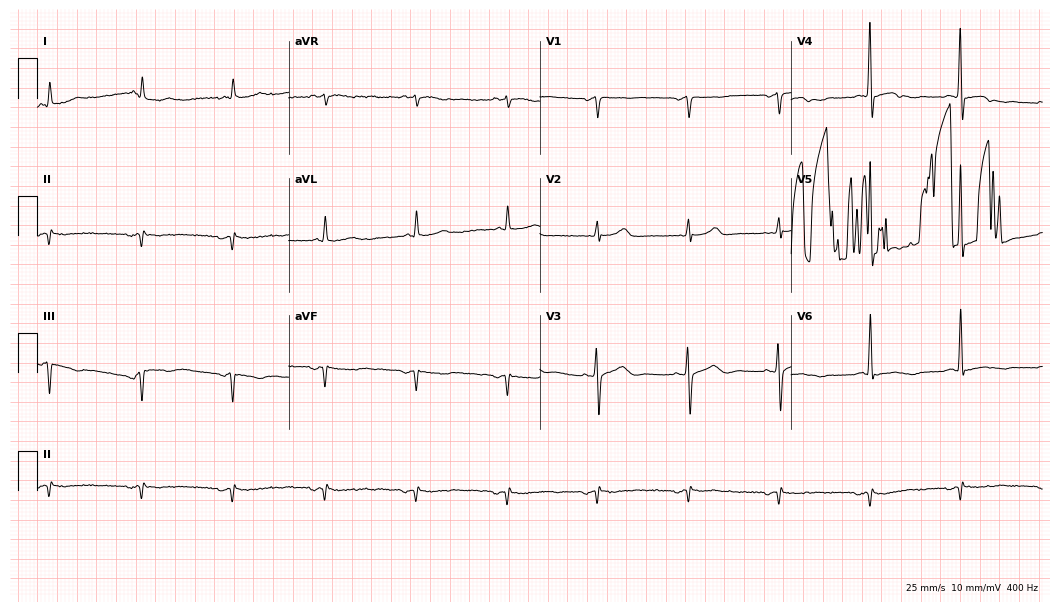
12-lead ECG from a 77-year-old woman (10.2-second recording at 400 Hz). No first-degree AV block, right bundle branch block (RBBB), left bundle branch block (LBBB), sinus bradycardia, atrial fibrillation (AF) or sinus tachycardia recorded for this tracing.